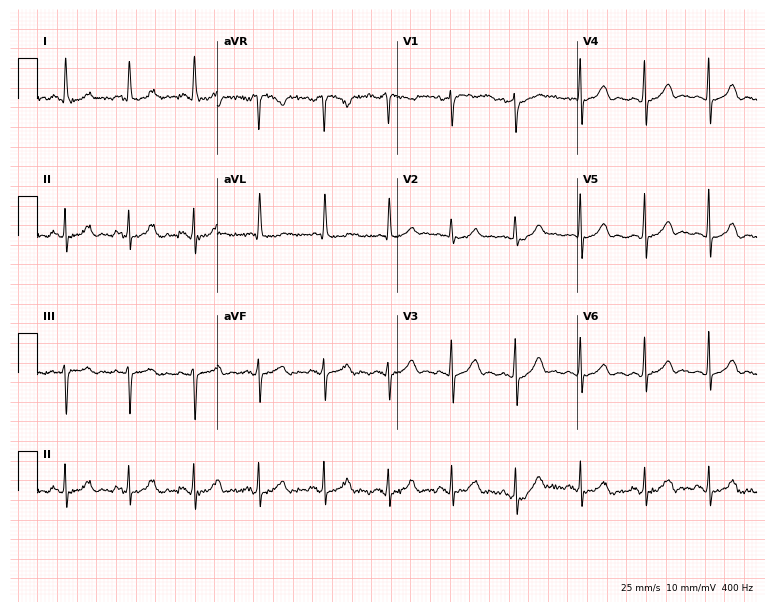
12-lead ECG from a 67-year-old female (7.3-second recording at 400 Hz). Recorded interpretation: within normal limits.